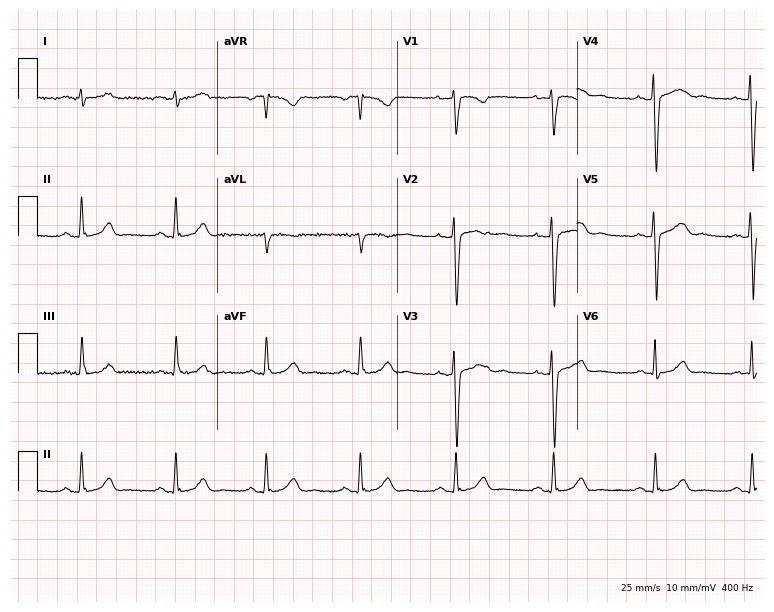
Electrocardiogram (7.3-second recording at 400 Hz), a 32-year-old woman. Overall reading on record: normal ECG.